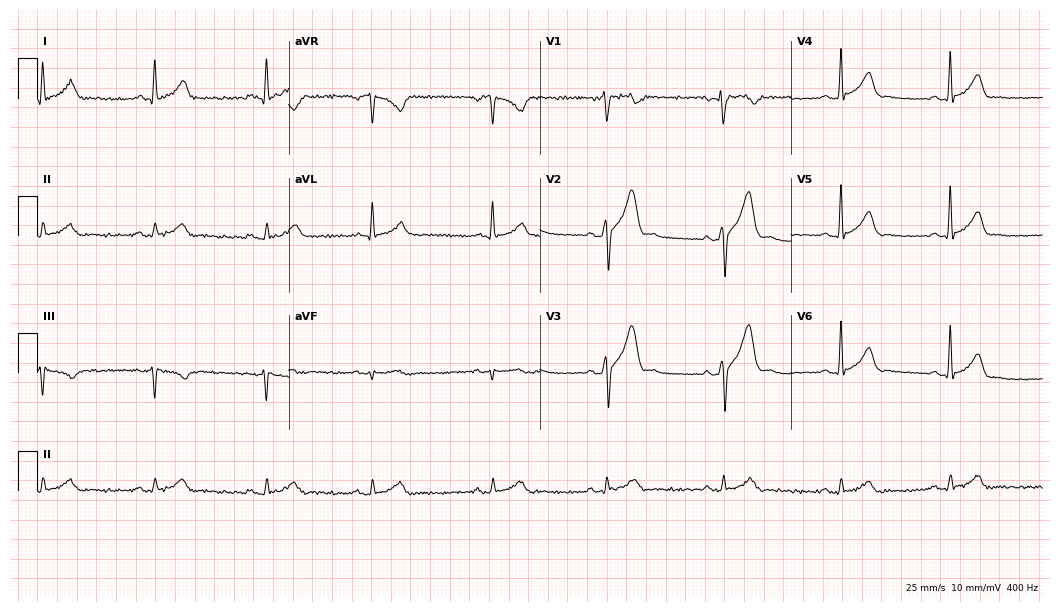
Electrocardiogram (10.2-second recording at 400 Hz), a 34-year-old male patient. Overall reading on record: normal ECG.